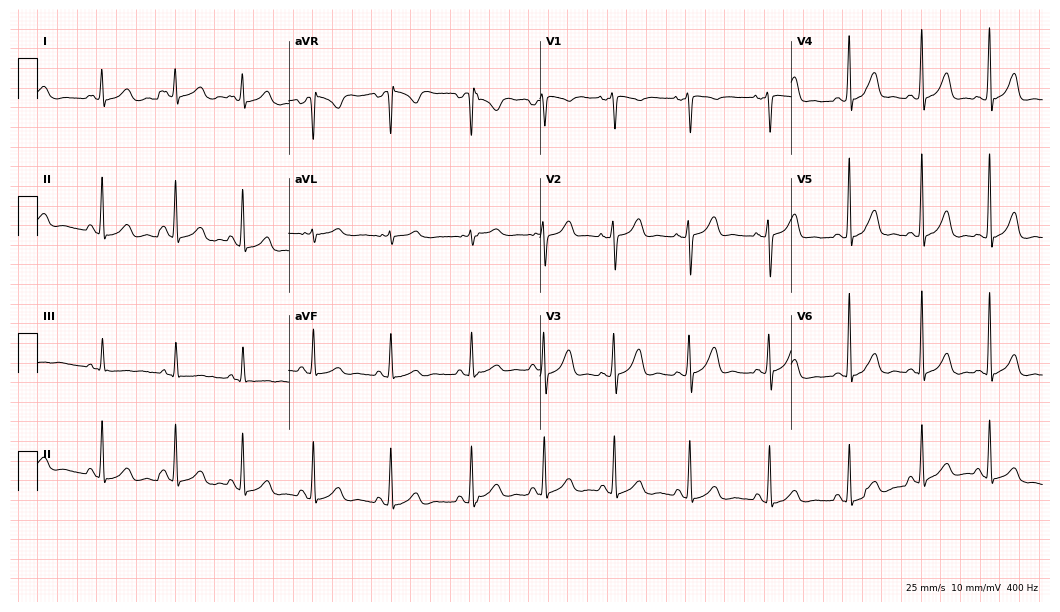
Electrocardiogram, a 20-year-old woman. Overall reading on record: normal ECG.